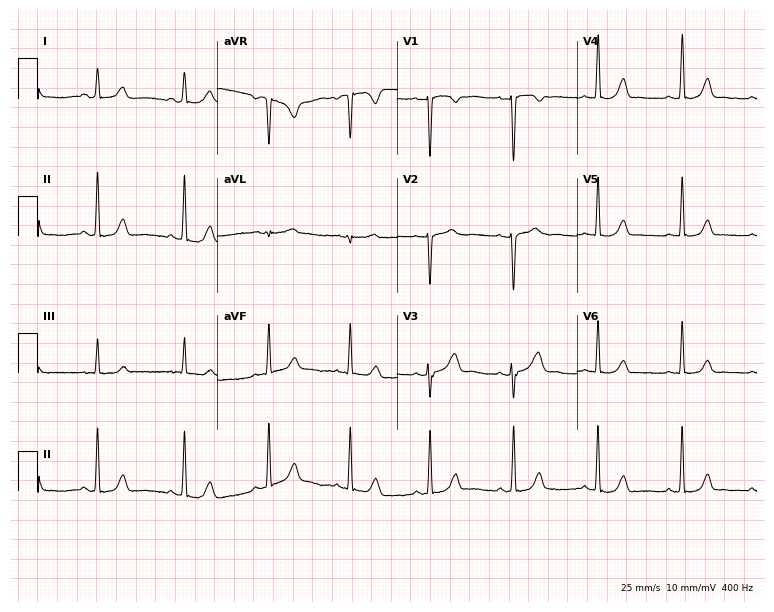
Standard 12-lead ECG recorded from a female, 32 years old (7.3-second recording at 400 Hz). None of these six findings is recorded: first-degree AV block, right bundle branch block (RBBB), left bundle branch block (LBBB), sinus bradycardia, atrial fibrillation (AF), sinus tachycardia. Other findings, if any, are not listed.